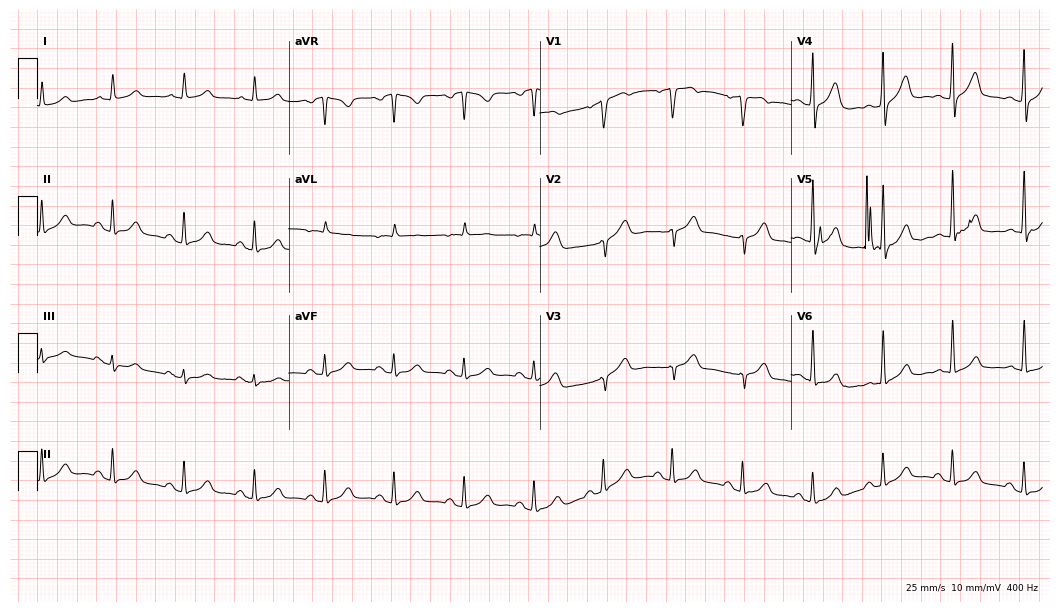
Resting 12-lead electrocardiogram. Patient: a man, 67 years old. None of these six findings is recorded: first-degree AV block, right bundle branch block, left bundle branch block, sinus bradycardia, atrial fibrillation, sinus tachycardia.